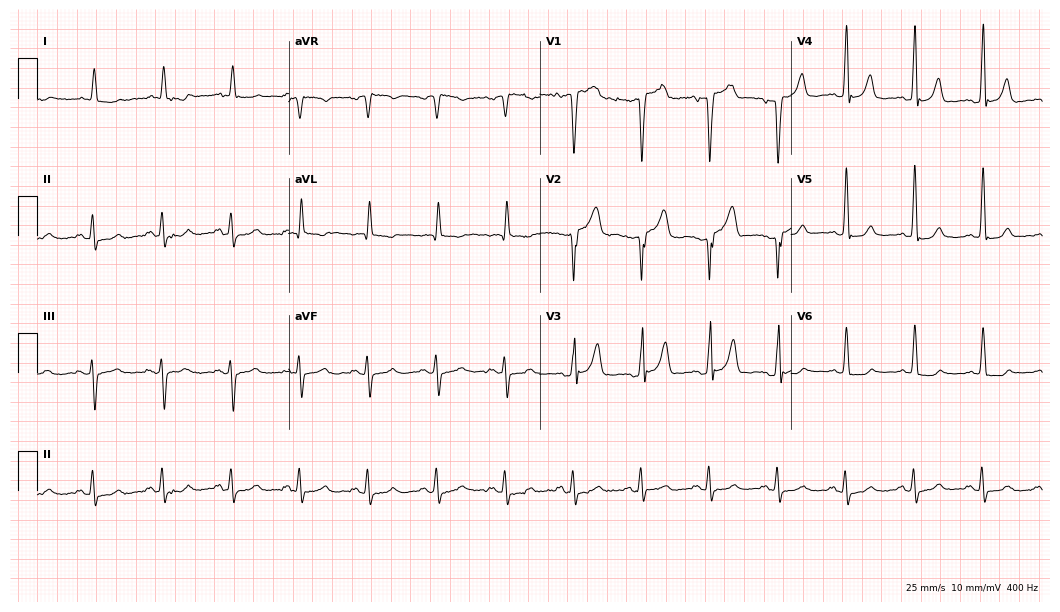
Electrocardiogram, a 67-year-old male patient. Of the six screened findings (first-degree AV block, right bundle branch block, left bundle branch block, sinus bradycardia, atrial fibrillation, sinus tachycardia), none is recorded. Only these six findings were labelled.